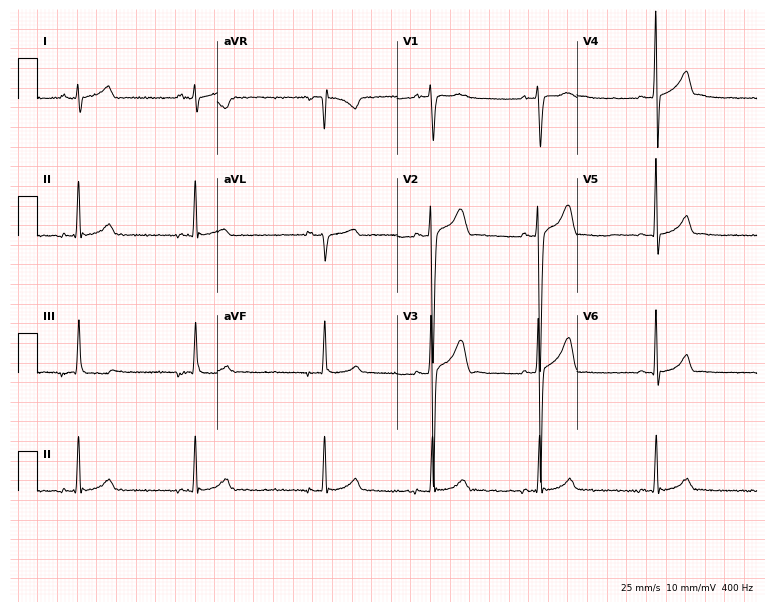
12-lead ECG (7.3-second recording at 400 Hz) from a male, 17 years old. Labelled as a normal ECG.